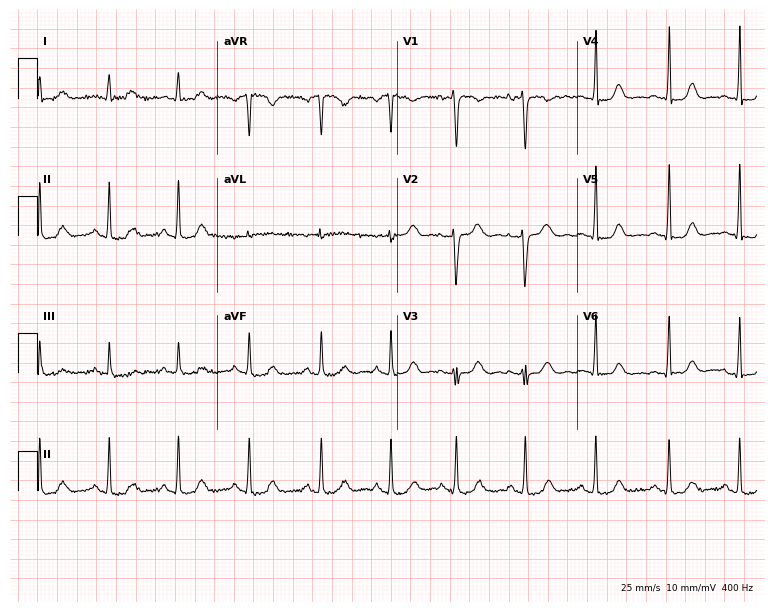
Resting 12-lead electrocardiogram. Patient: a female, 33 years old. None of these six findings is recorded: first-degree AV block, right bundle branch block, left bundle branch block, sinus bradycardia, atrial fibrillation, sinus tachycardia.